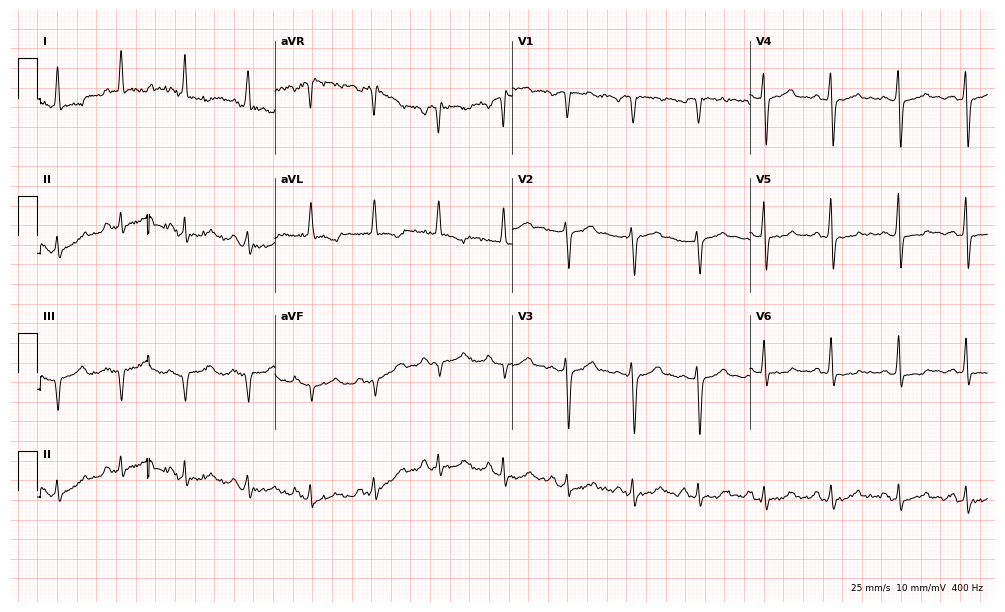
Standard 12-lead ECG recorded from a male, 60 years old (9.7-second recording at 400 Hz). Read as a normal ECG.